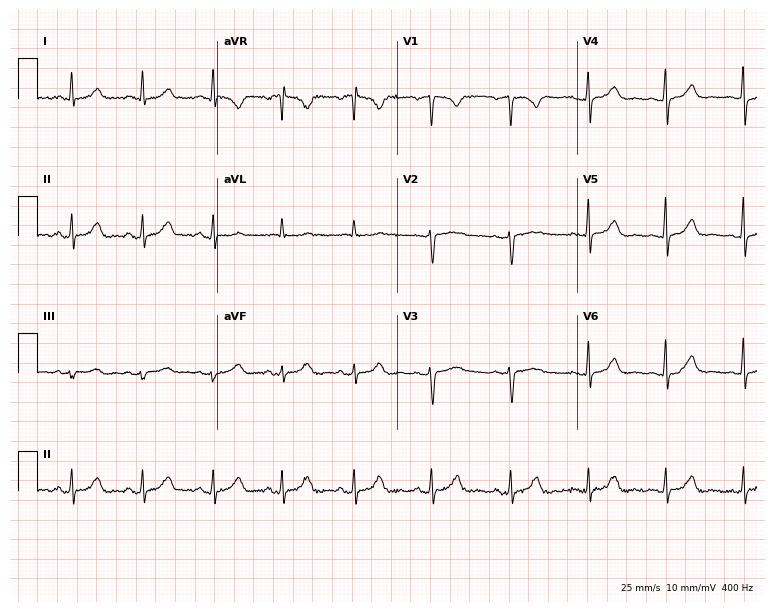
12-lead ECG (7.3-second recording at 400 Hz) from a woman, 37 years old. Labelled as a normal ECG.